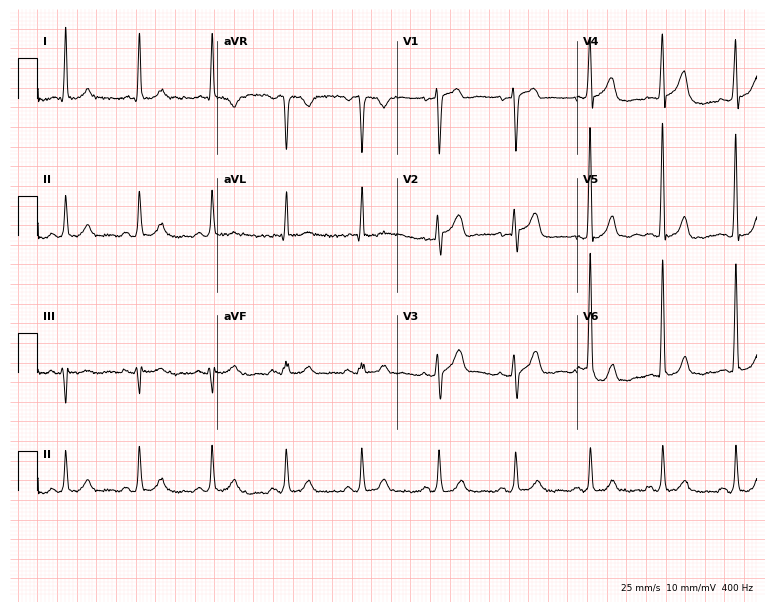
Standard 12-lead ECG recorded from a male patient, 79 years old (7.3-second recording at 400 Hz). Read as a normal ECG.